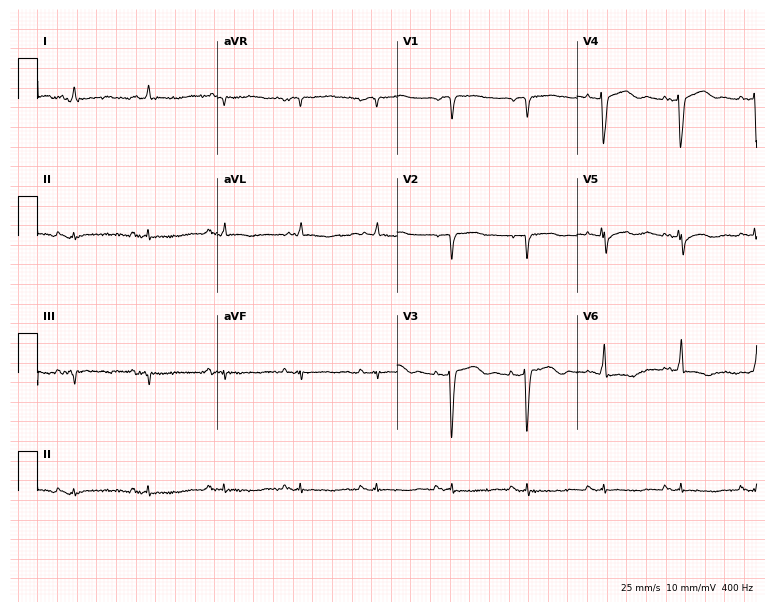
Resting 12-lead electrocardiogram (7.3-second recording at 400 Hz). Patient: a 79-year-old man. None of these six findings is recorded: first-degree AV block, right bundle branch block, left bundle branch block, sinus bradycardia, atrial fibrillation, sinus tachycardia.